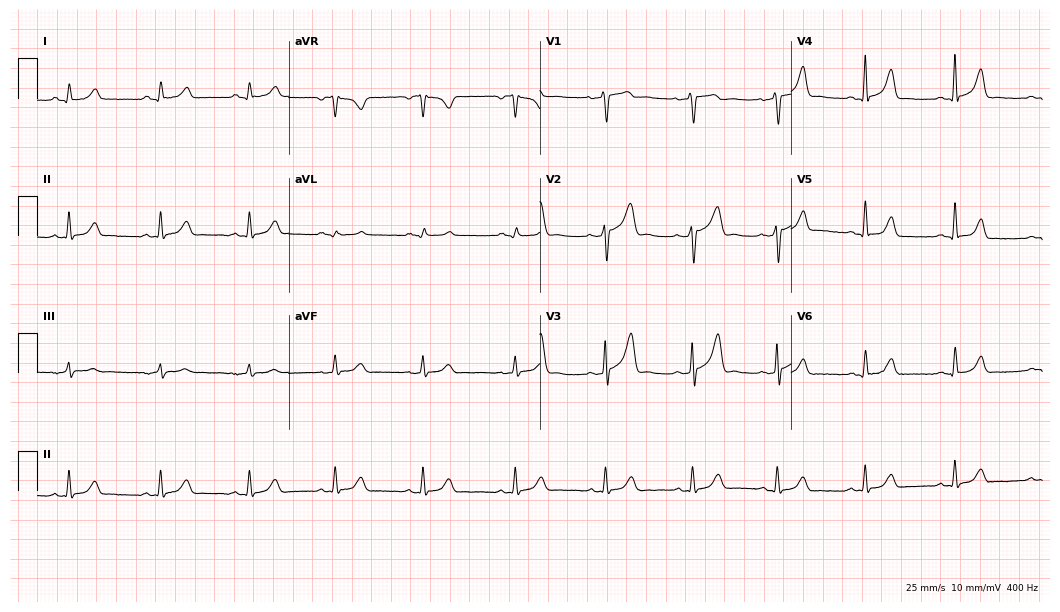
12-lead ECG from a 31-year-old man (10.2-second recording at 400 Hz). Recorded interpretation: within normal limits.